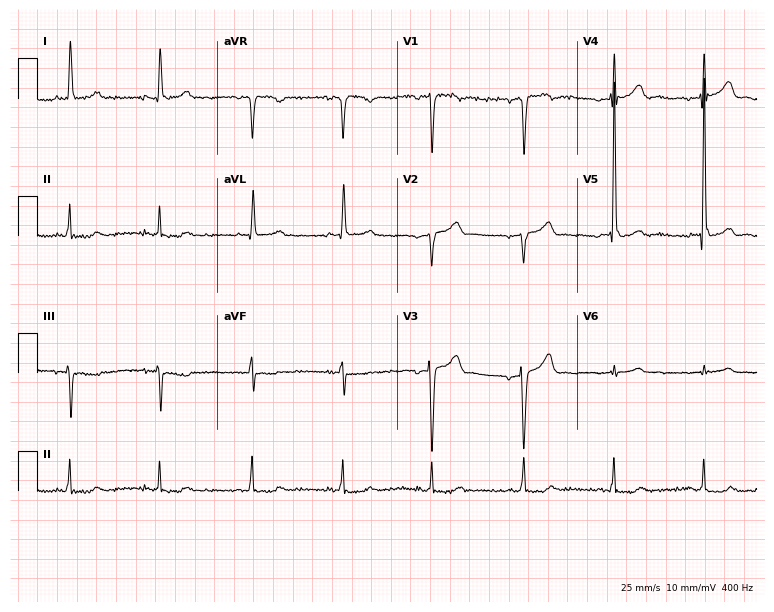
12-lead ECG from a 78-year-old male. No first-degree AV block, right bundle branch block, left bundle branch block, sinus bradycardia, atrial fibrillation or sinus tachycardia recorded for this tracing.